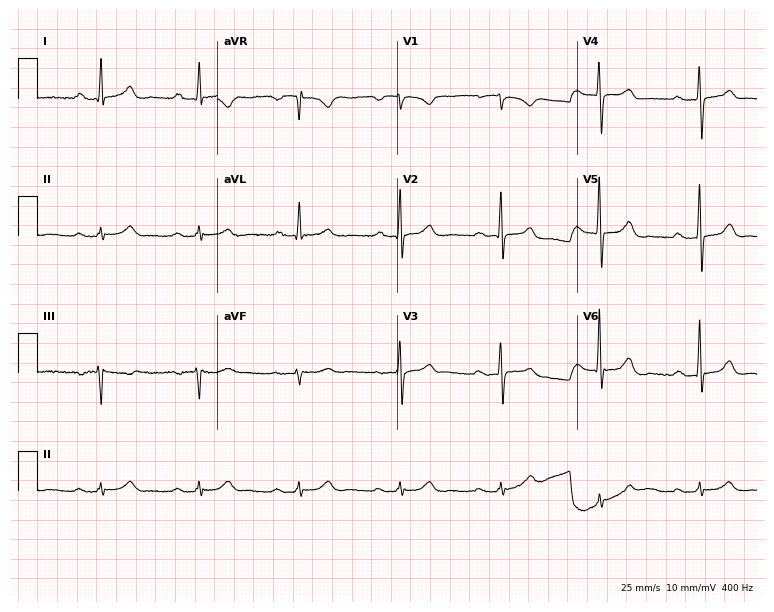
Standard 12-lead ECG recorded from a male, 56 years old (7.3-second recording at 400 Hz). The tracing shows first-degree AV block.